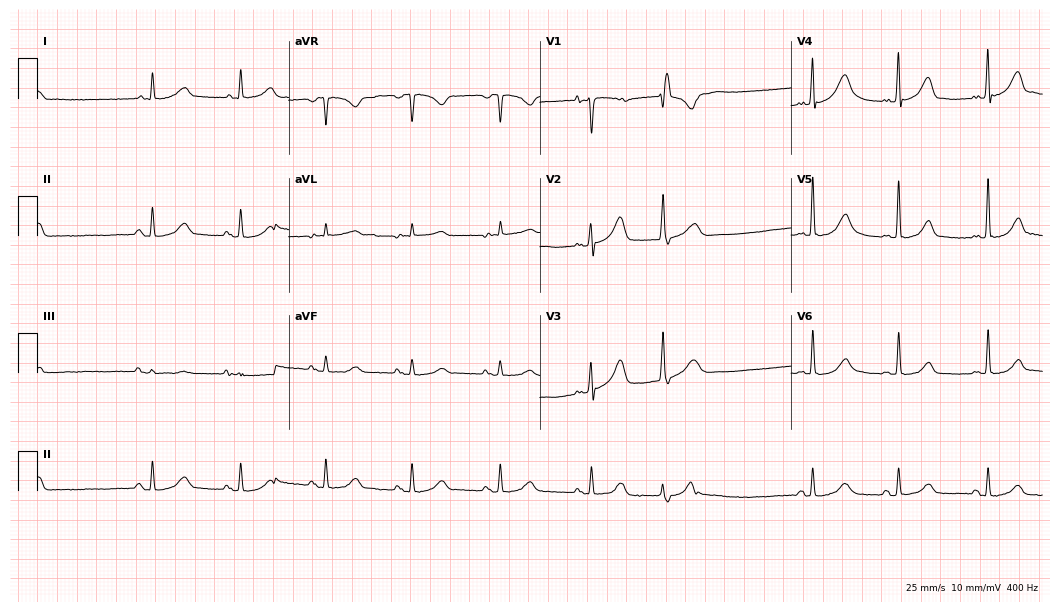
Resting 12-lead electrocardiogram (10.2-second recording at 400 Hz). Patient: a male, 56 years old. None of these six findings is recorded: first-degree AV block, right bundle branch block, left bundle branch block, sinus bradycardia, atrial fibrillation, sinus tachycardia.